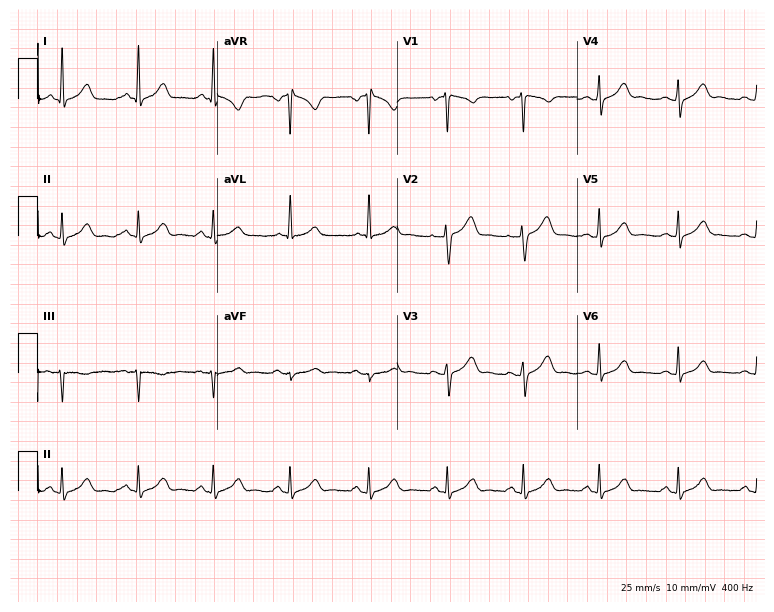
12-lead ECG (7.3-second recording at 400 Hz) from a female, 36 years old. Screened for six findings — first-degree AV block, right bundle branch block, left bundle branch block, sinus bradycardia, atrial fibrillation, sinus tachycardia — none is recorded. Findings outside these six are not listed.